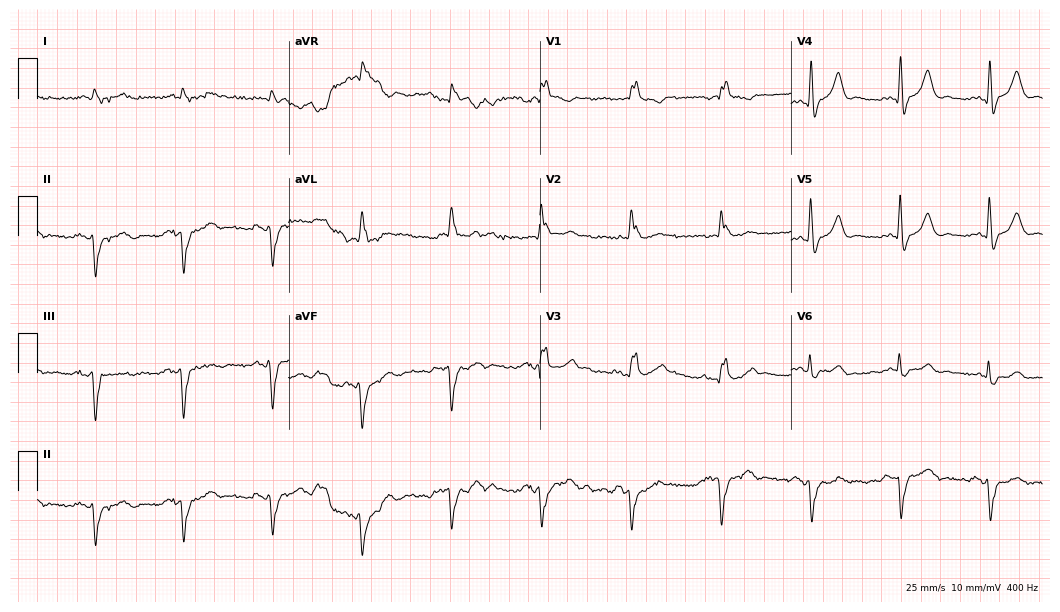
12-lead ECG from an 84-year-old male patient. Shows right bundle branch block.